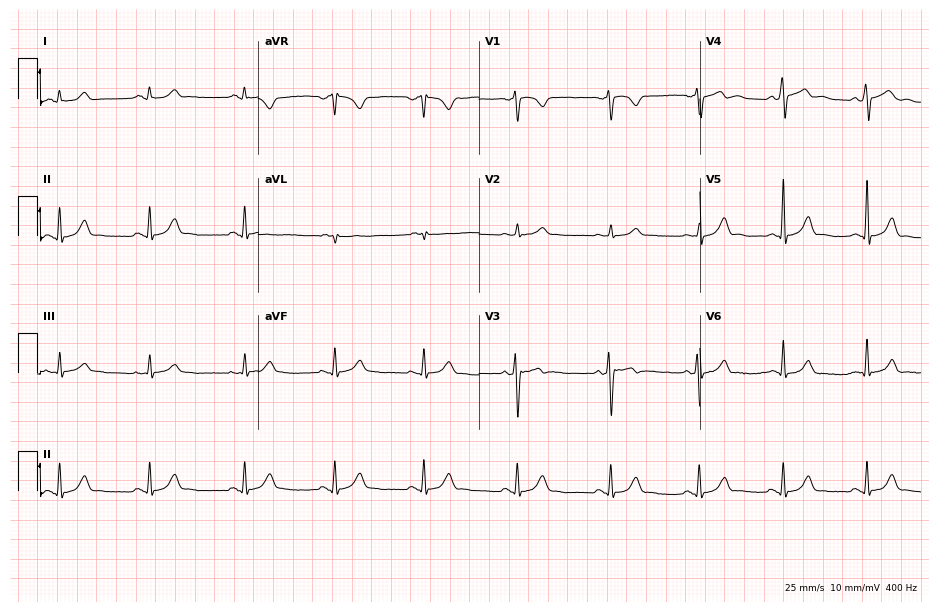
Resting 12-lead electrocardiogram (9-second recording at 400 Hz). Patient: a 20-year-old man. Read as a normal ECG.